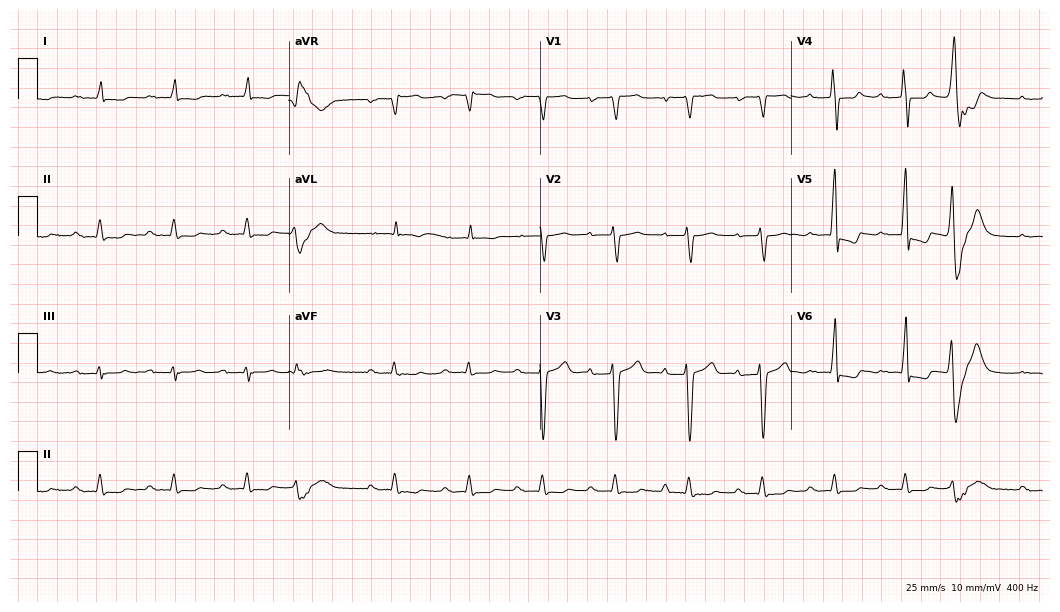
12-lead ECG from a 76-year-old man. Screened for six findings — first-degree AV block, right bundle branch block, left bundle branch block, sinus bradycardia, atrial fibrillation, sinus tachycardia — none is recorded. Findings outside these six are not listed.